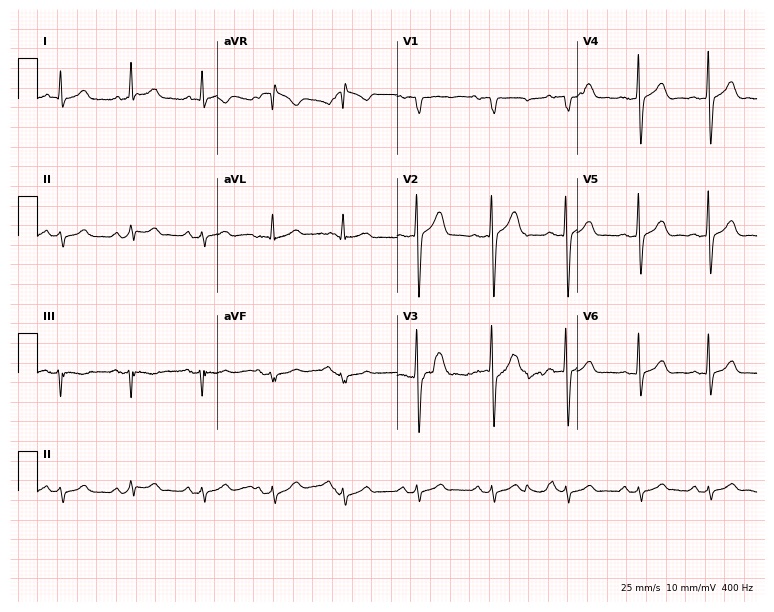
12-lead ECG from a 46-year-old man (7.3-second recording at 400 Hz). No first-degree AV block, right bundle branch block, left bundle branch block, sinus bradycardia, atrial fibrillation or sinus tachycardia recorded for this tracing.